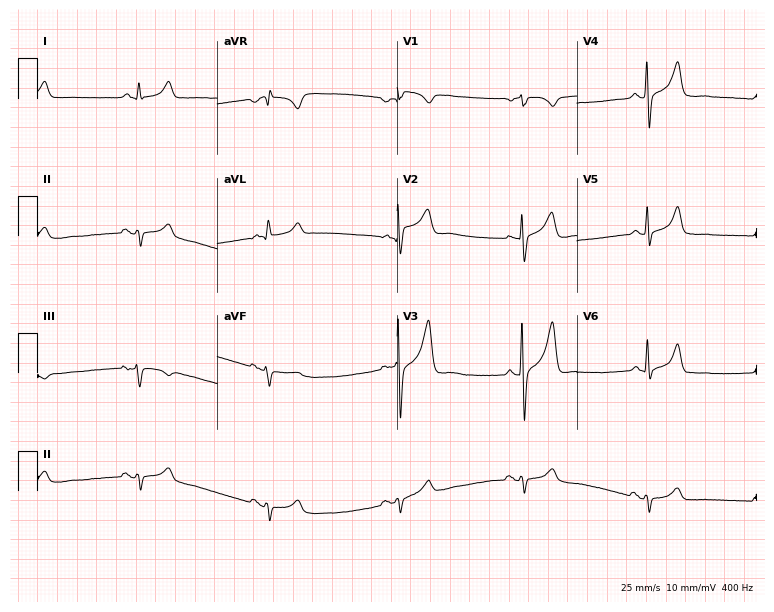
Standard 12-lead ECG recorded from a 47-year-old male patient. The tracing shows sinus bradycardia (a sinus rate of 50 beats per minute or less).